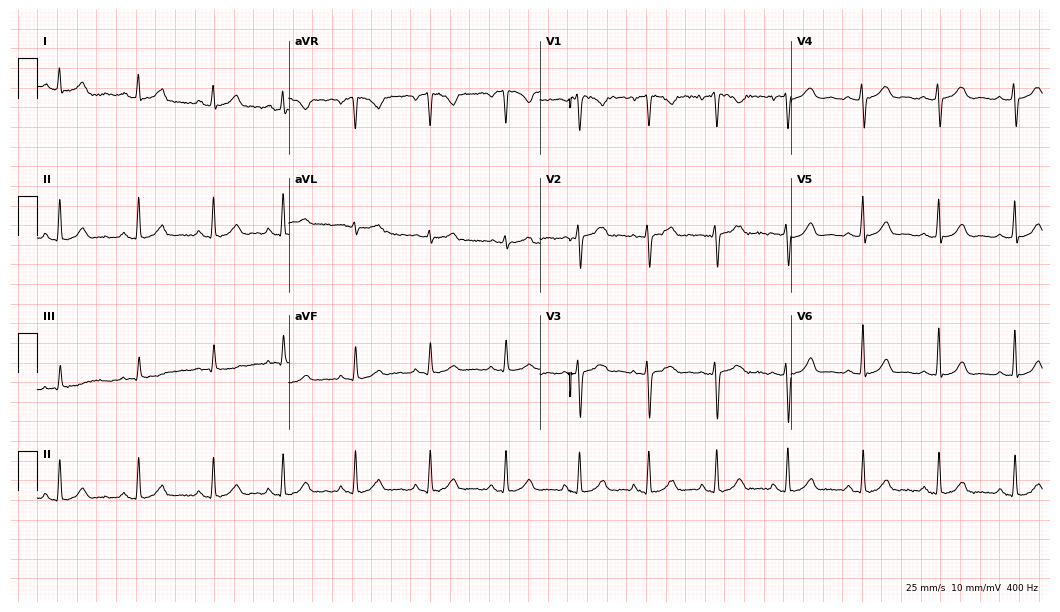
12-lead ECG (10.2-second recording at 400 Hz) from a 36-year-old woman. Labelled as a normal ECG.